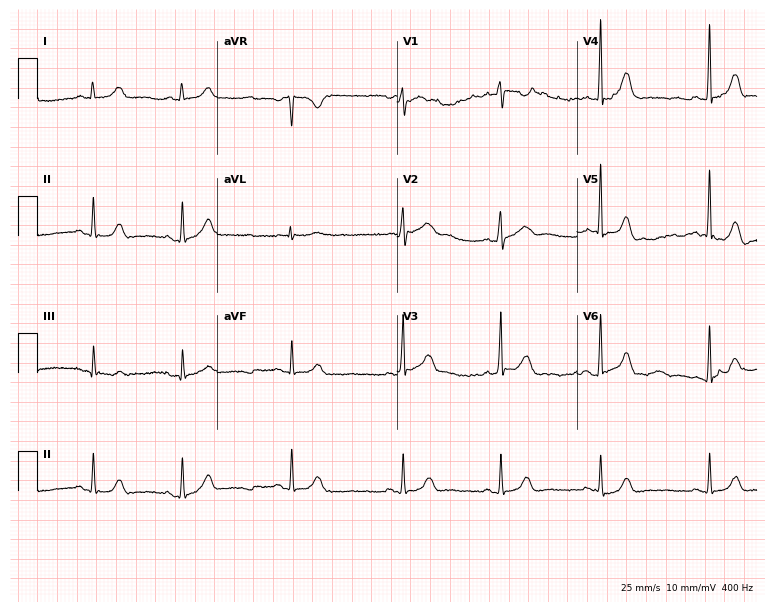
Electrocardiogram (7.3-second recording at 400 Hz), a 25-year-old female. Overall reading on record: normal ECG.